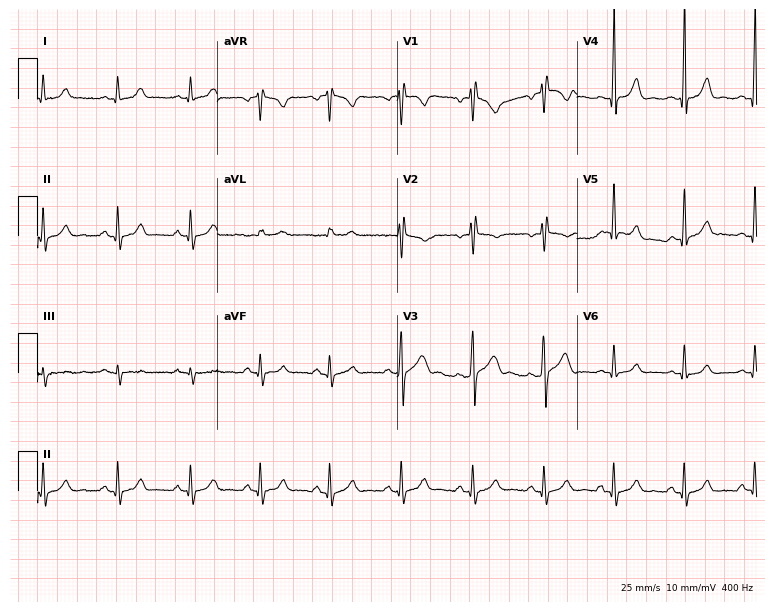
12-lead ECG (7.3-second recording at 400 Hz) from a 23-year-old male. Labelled as a normal ECG.